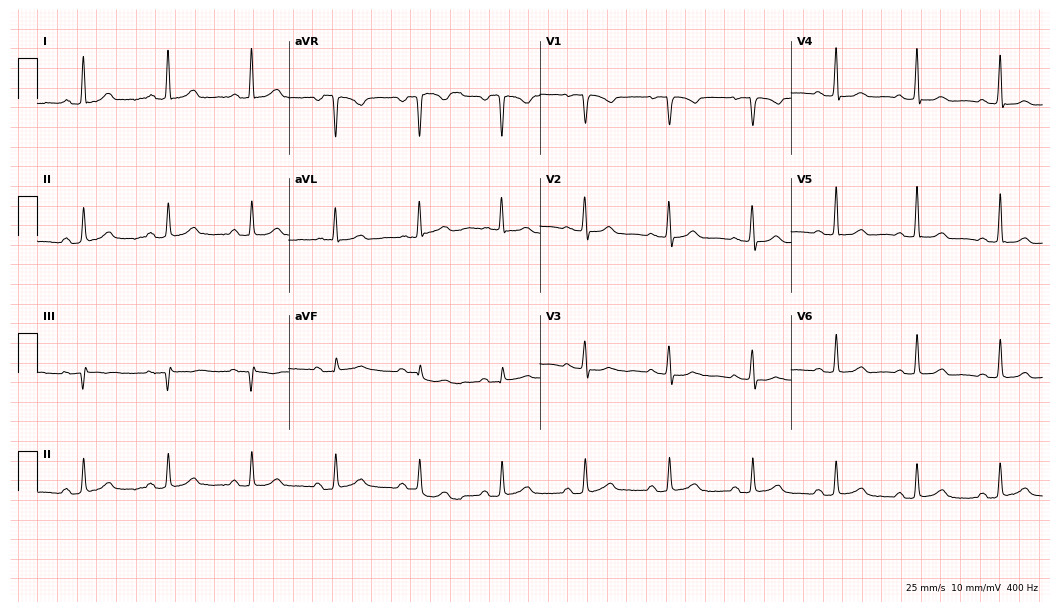
ECG (10.2-second recording at 400 Hz) — a 59-year-old woman. Labelled as a normal ECG.